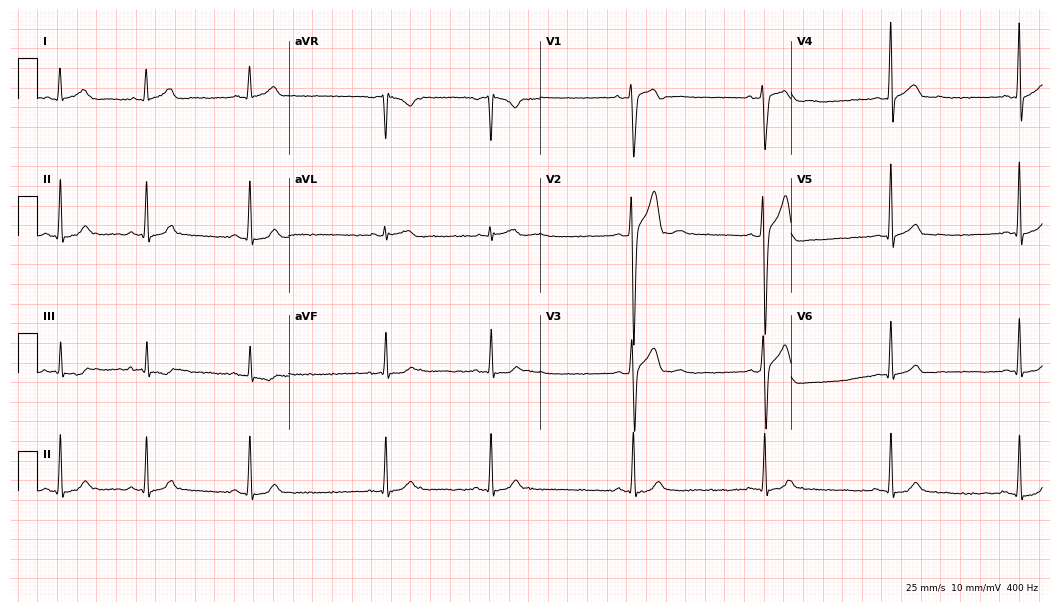
Resting 12-lead electrocardiogram (10.2-second recording at 400 Hz). Patient: a 22-year-old male. None of these six findings is recorded: first-degree AV block, right bundle branch block, left bundle branch block, sinus bradycardia, atrial fibrillation, sinus tachycardia.